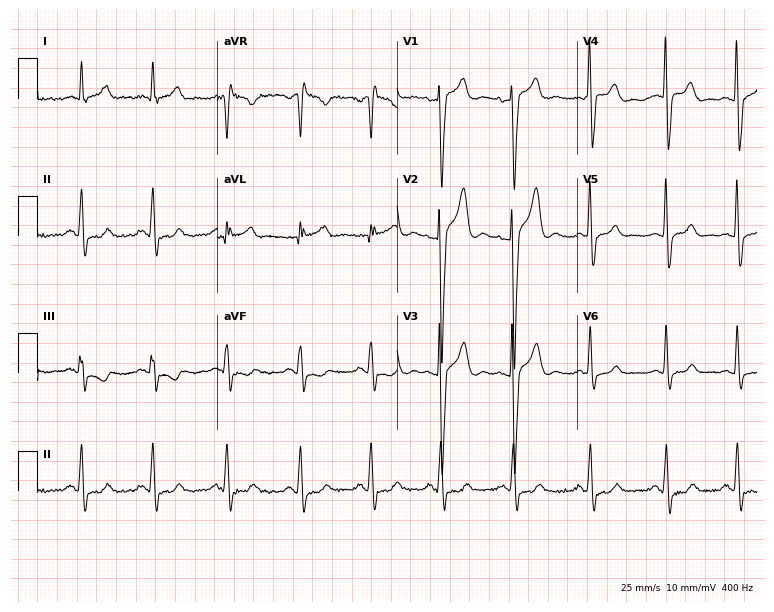
Standard 12-lead ECG recorded from a 45-year-old man (7.3-second recording at 400 Hz). Read as a normal ECG.